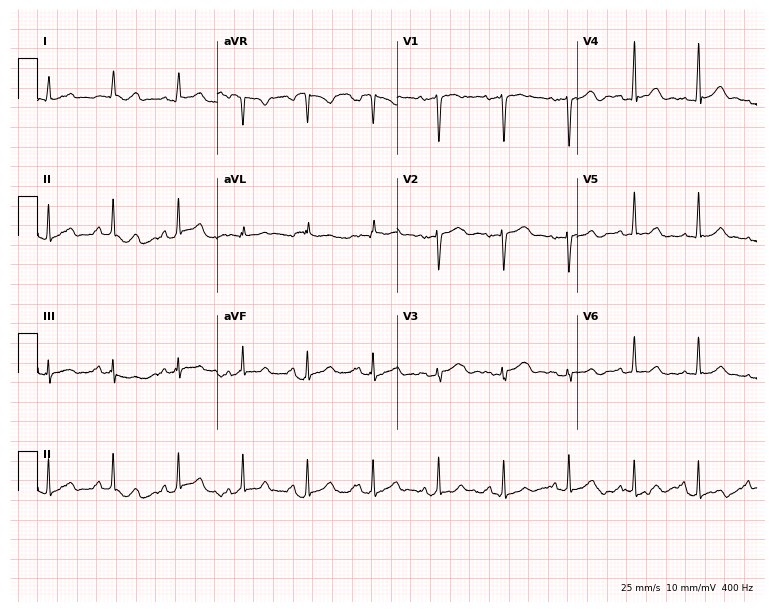
12-lead ECG from a 50-year-old female (7.3-second recording at 400 Hz). Recorded interpretation: within normal limits.